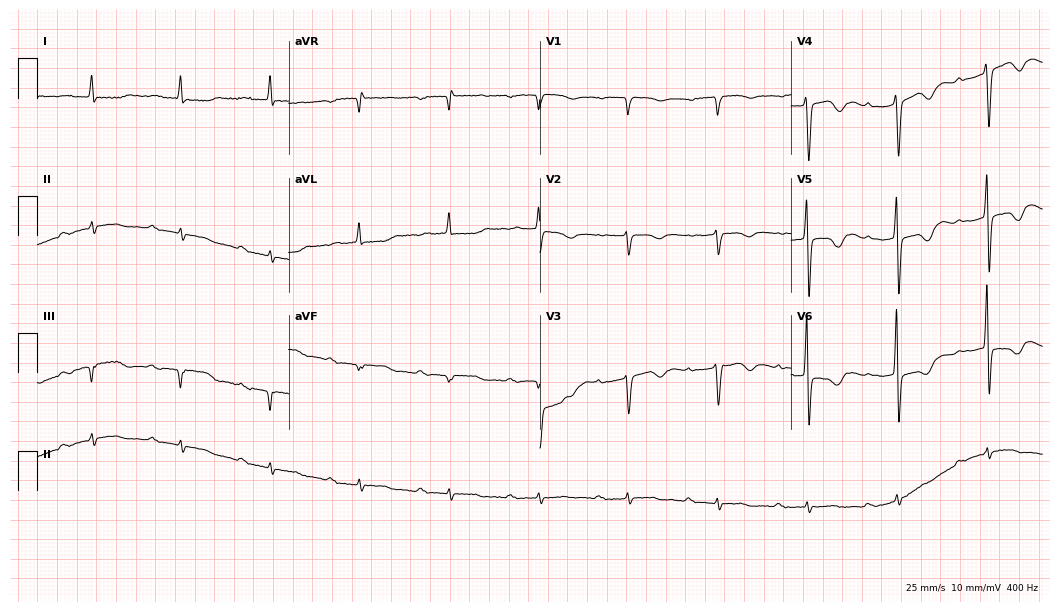
Standard 12-lead ECG recorded from a man, 76 years old (10.2-second recording at 400 Hz). The tracing shows first-degree AV block.